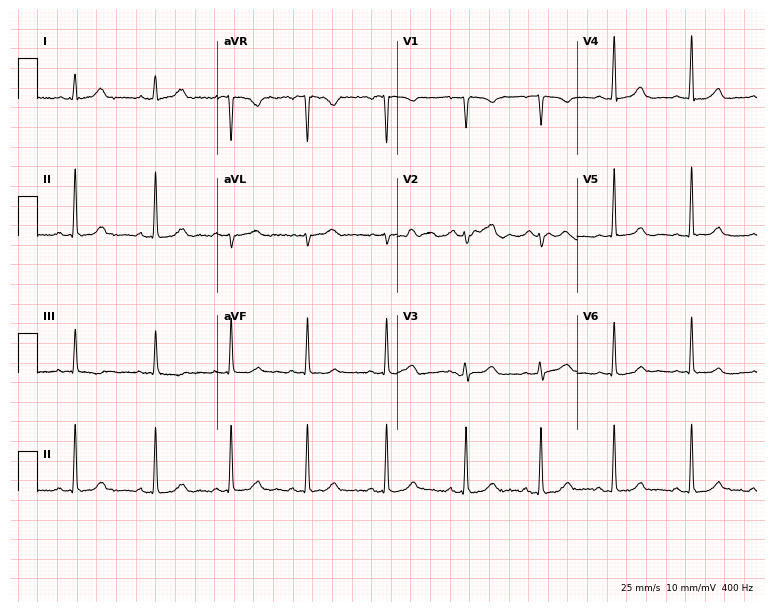
12-lead ECG from a woman, 31 years old. Screened for six findings — first-degree AV block, right bundle branch block, left bundle branch block, sinus bradycardia, atrial fibrillation, sinus tachycardia — none is recorded.